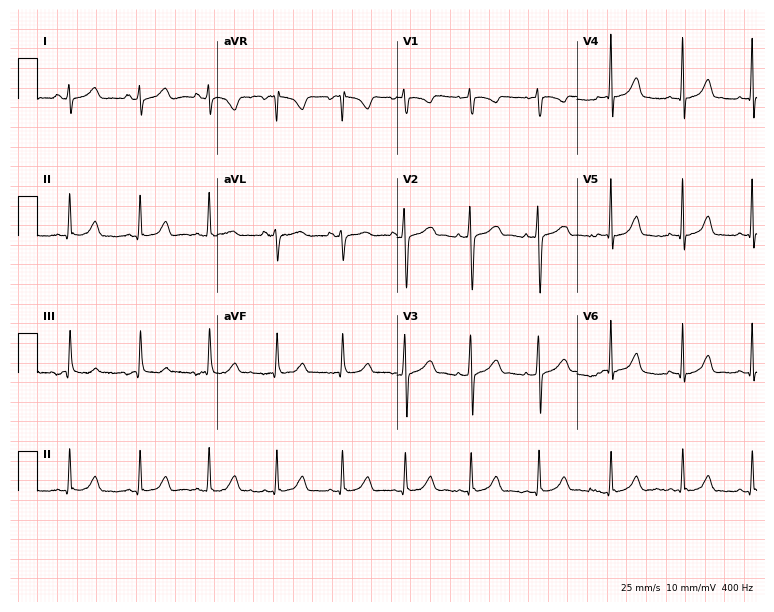
12-lead ECG (7.3-second recording at 400 Hz) from a female patient, 23 years old. Screened for six findings — first-degree AV block, right bundle branch block, left bundle branch block, sinus bradycardia, atrial fibrillation, sinus tachycardia — none is recorded. Other findings, if any, are not listed.